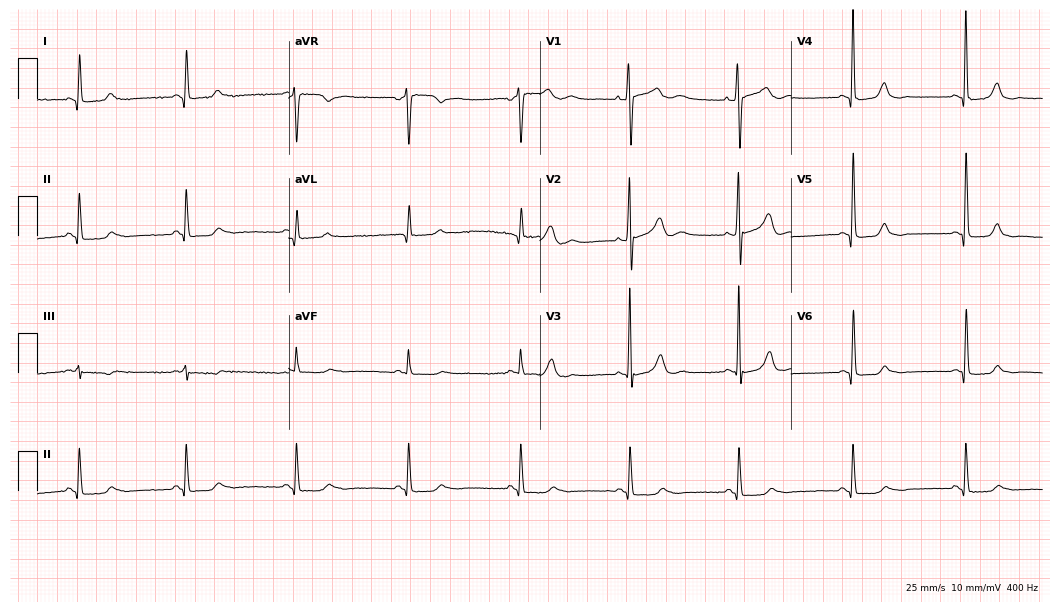
Resting 12-lead electrocardiogram. Patient: a female, 52 years old. Read as a normal ECG.